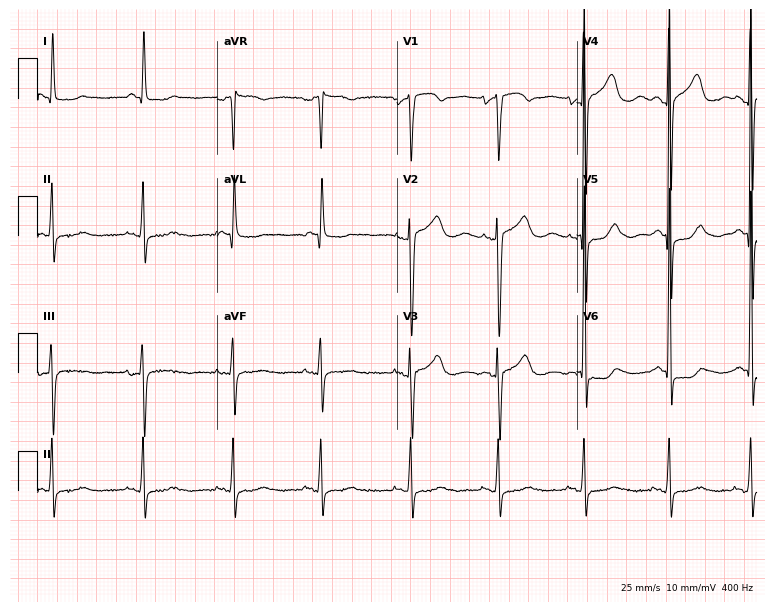
Resting 12-lead electrocardiogram (7.3-second recording at 400 Hz). Patient: a male, 47 years old. None of these six findings is recorded: first-degree AV block, right bundle branch block, left bundle branch block, sinus bradycardia, atrial fibrillation, sinus tachycardia.